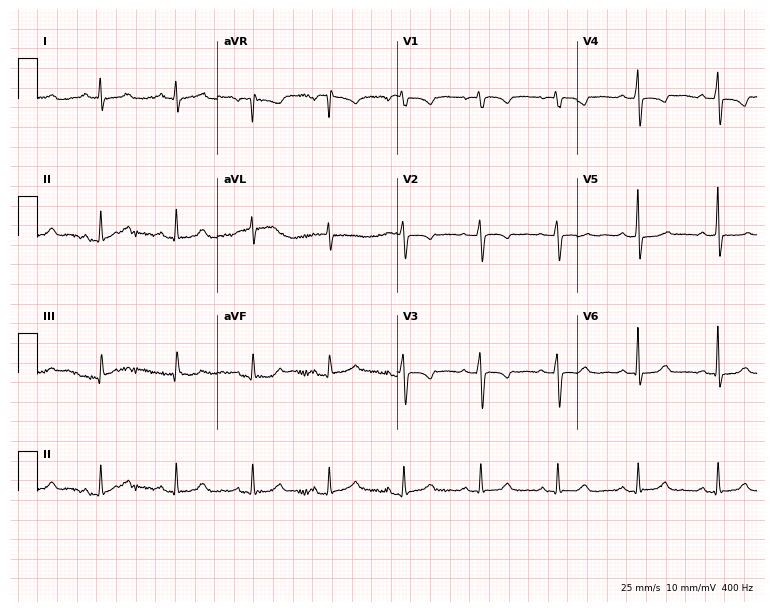
12-lead ECG from a female patient, 52 years old. Screened for six findings — first-degree AV block, right bundle branch block, left bundle branch block, sinus bradycardia, atrial fibrillation, sinus tachycardia — none is recorded.